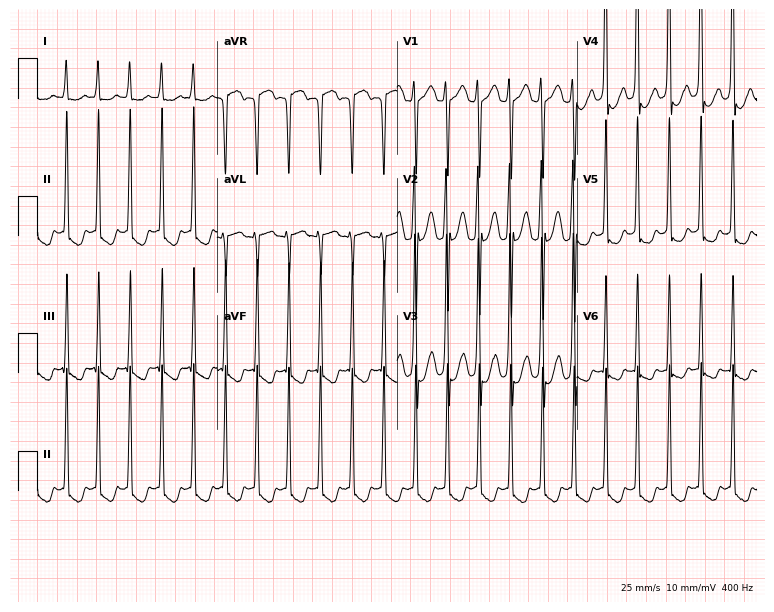
Resting 12-lead electrocardiogram (7.3-second recording at 400 Hz). Patient: a man, 21 years old. The tracing shows sinus tachycardia (a sinus rate of 100 beats per minute or more).